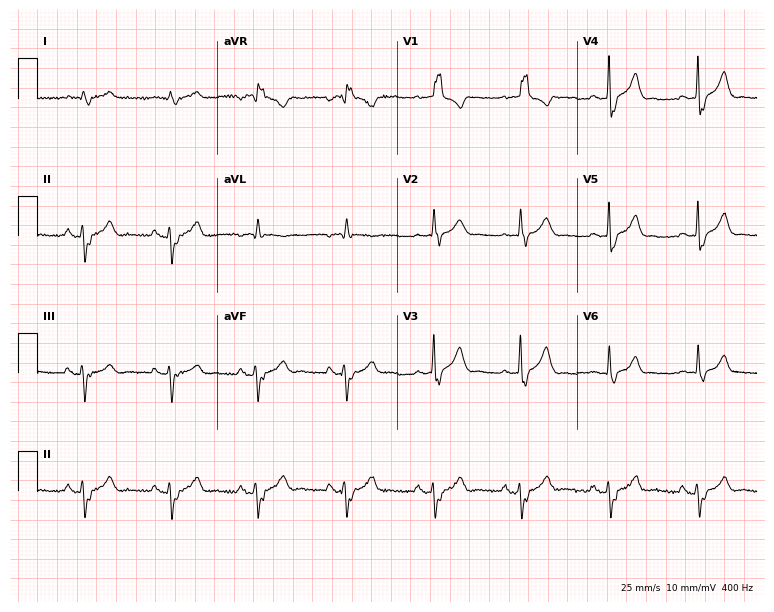
12-lead ECG from a 64-year-old man. Shows right bundle branch block.